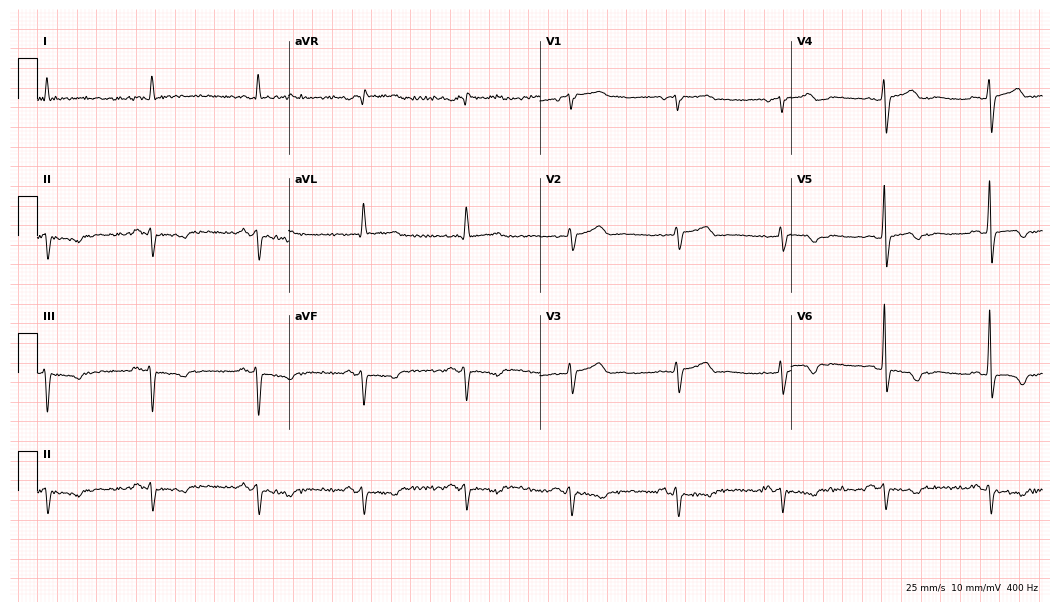
12-lead ECG from an 80-year-old male. No first-degree AV block, right bundle branch block, left bundle branch block, sinus bradycardia, atrial fibrillation or sinus tachycardia recorded for this tracing. Only these six findings were labelled.